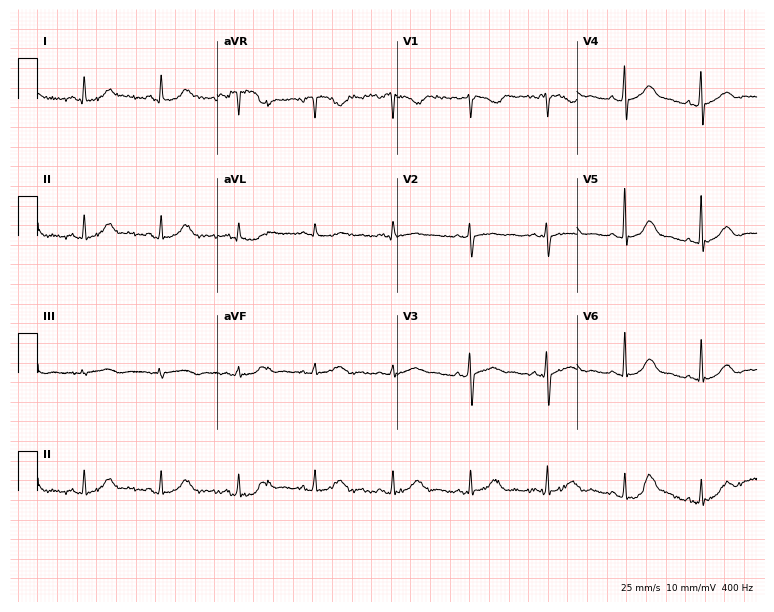
Standard 12-lead ECG recorded from a man, 52 years old (7.3-second recording at 400 Hz). Read as a normal ECG.